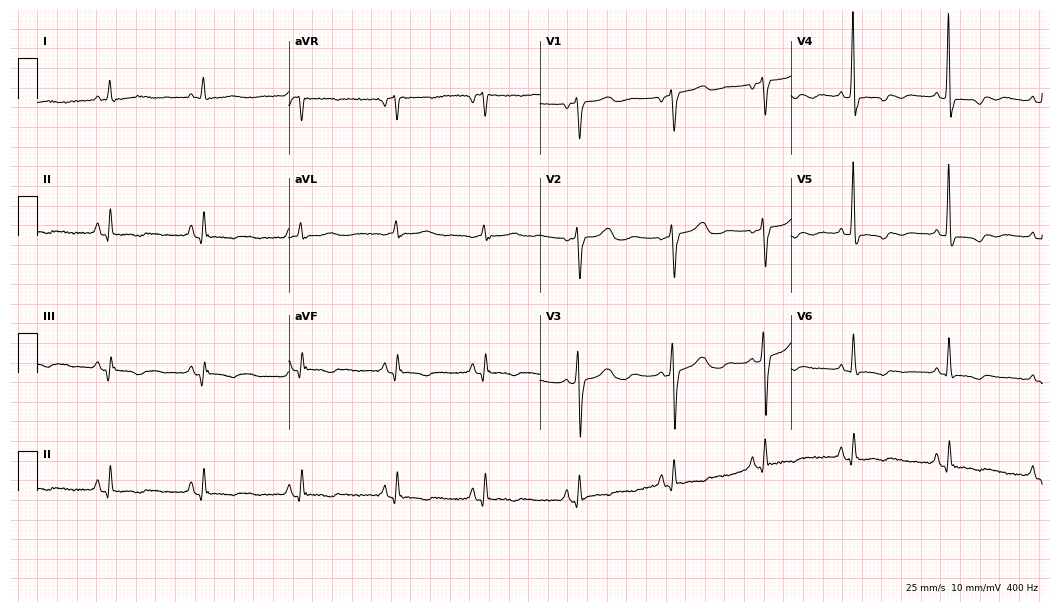
Electrocardiogram, a female, 67 years old. Of the six screened findings (first-degree AV block, right bundle branch block, left bundle branch block, sinus bradycardia, atrial fibrillation, sinus tachycardia), none is recorded.